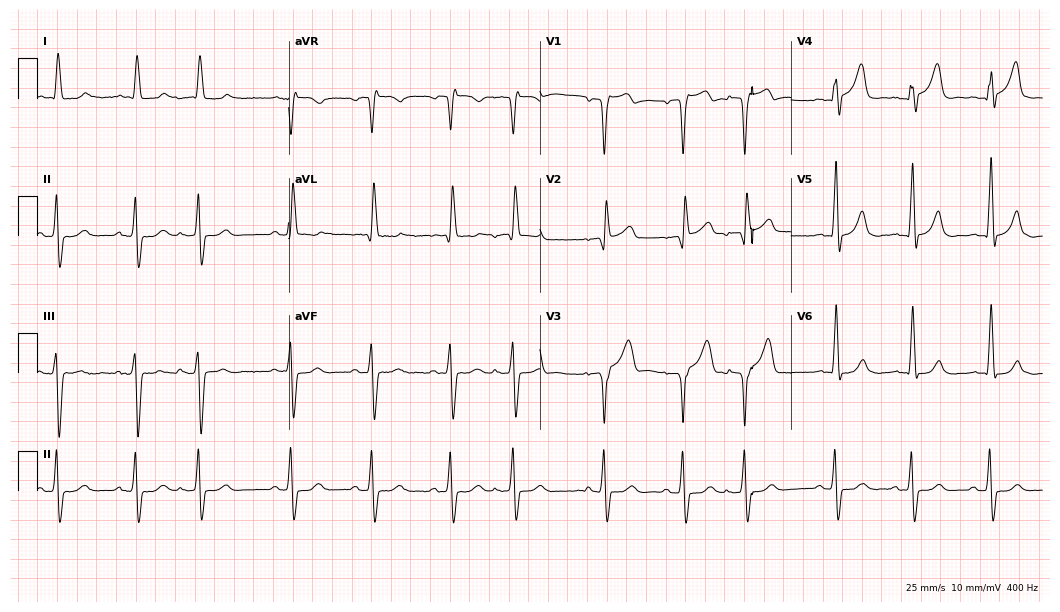
Electrocardiogram (10.2-second recording at 400 Hz), a male, 85 years old. Of the six screened findings (first-degree AV block, right bundle branch block, left bundle branch block, sinus bradycardia, atrial fibrillation, sinus tachycardia), none is recorded. Only these six findings were labelled.